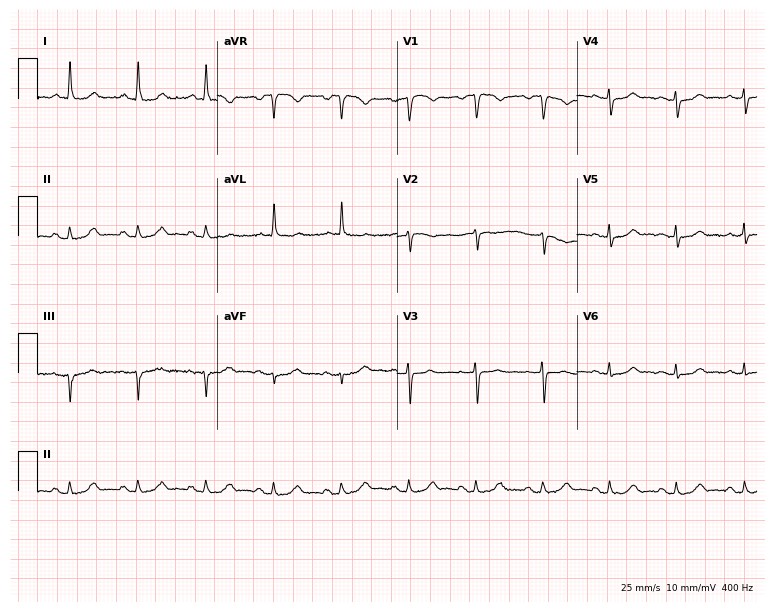
12-lead ECG from a 62-year-old female. No first-degree AV block, right bundle branch block (RBBB), left bundle branch block (LBBB), sinus bradycardia, atrial fibrillation (AF) or sinus tachycardia recorded for this tracing.